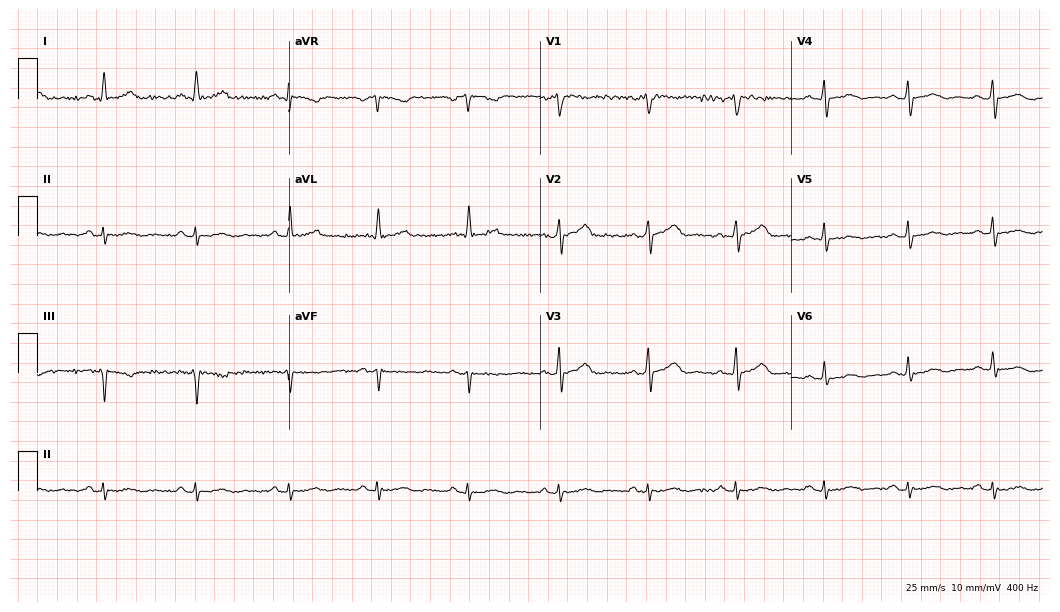
12-lead ECG from a 56-year-old male patient. Screened for six findings — first-degree AV block, right bundle branch block, left bundle branch block, sinus bradycardia, atrial fibrillation, sinus tachycardia — none is recorded. Only these six findings were labelled.